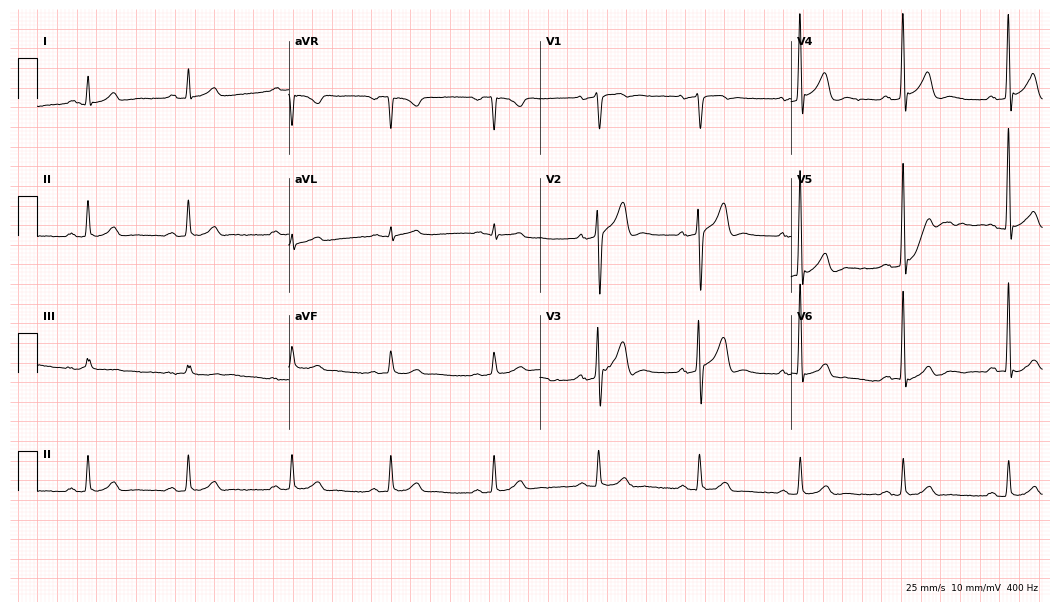
12-lead ECG from a 39-year-old male patient (10.2-second recording at 400 Hz). Recorded interpretation: within normal limits.